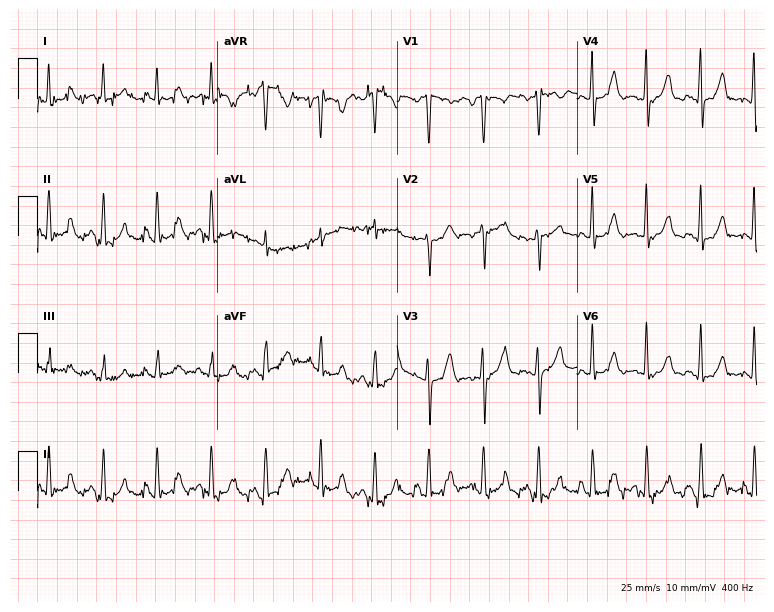
Standard 12-lead ECG recorded from a male, 58 years old (7.3-second recording at 400 Hz). None of these six findings is recorded: first-degree AV block, right bundle branch block, left bundle branch block, sinus bradycardia, atrial fibrillation, sinus tachycardia. Findings outside these six are not listed.